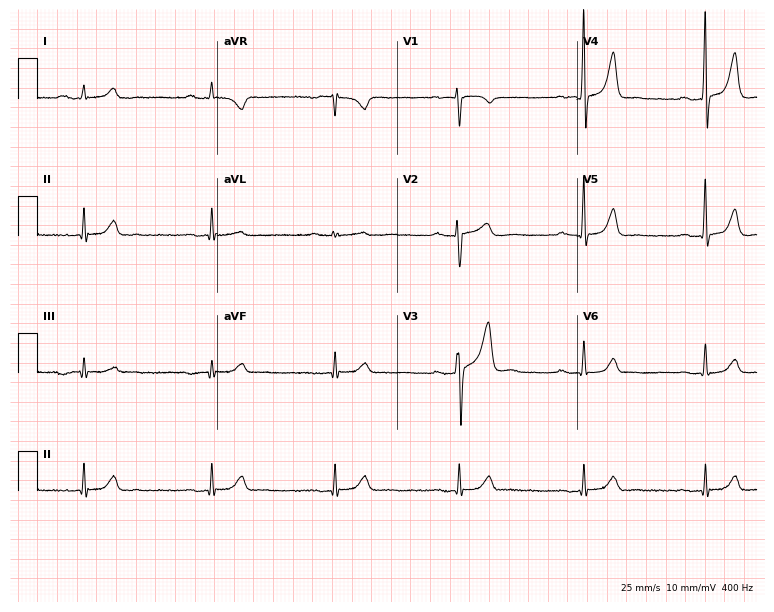
12-lead ECG from a female patient, 63 years old (7.3-second recording at 400 Hz). Shows first-degree AV block, sinus bradycardia (a sinus rate of 50 beats per minute or less).